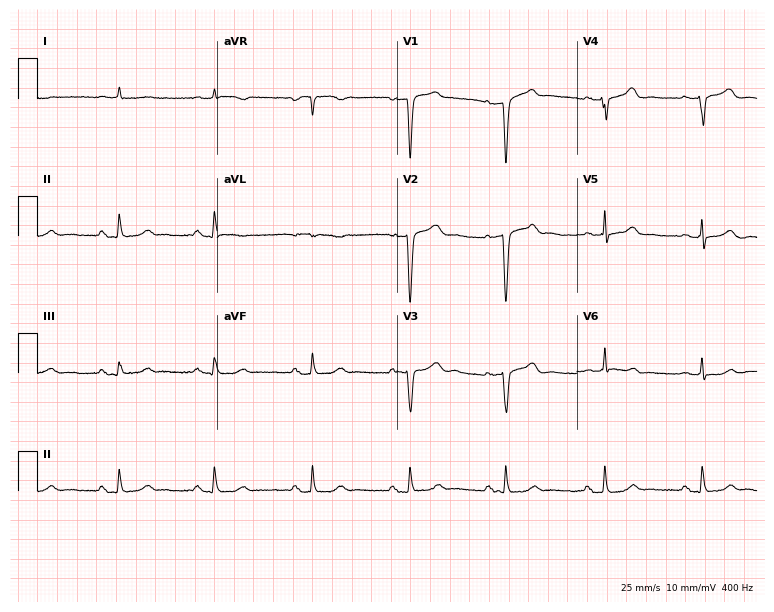
Resting 12-lead electrocardiogram (7.3-second recording at 400 Hz). Patient: a male, 76 years old. None of these six findings is recorded: first-degree AV block, right bundle branch block, left bundle branch block, sinus bradycardia, atrial fibrillation, sinus tachycardia. Other findings, if any, are not listed.